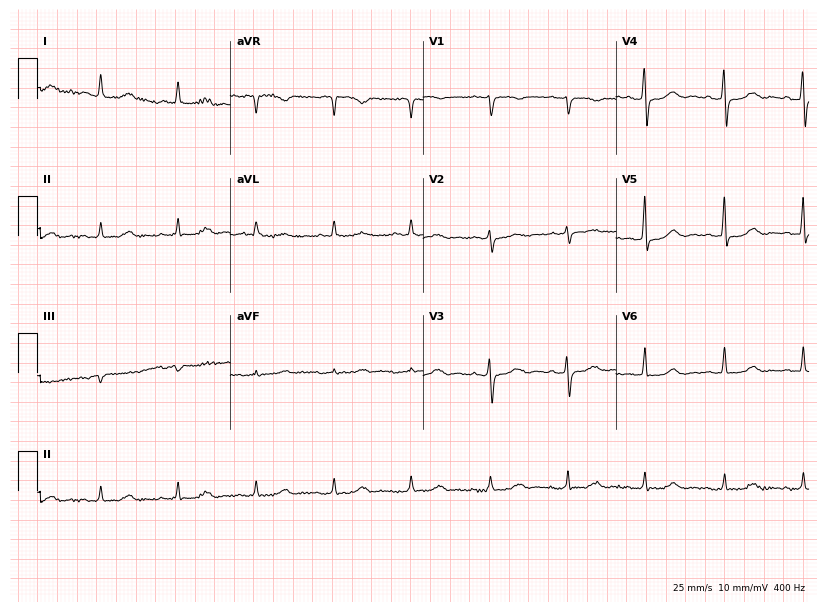
Electrocardiogram, a female patient, 82 years old. Overall reading on record: normal ECG.